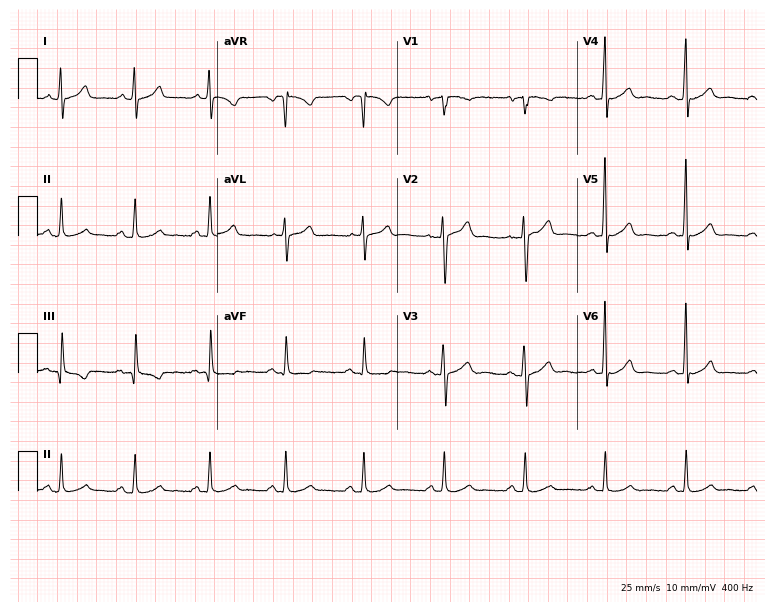
Electrocardiogram, a 51-year-old male patient. Overall reading on record: normal ECG.